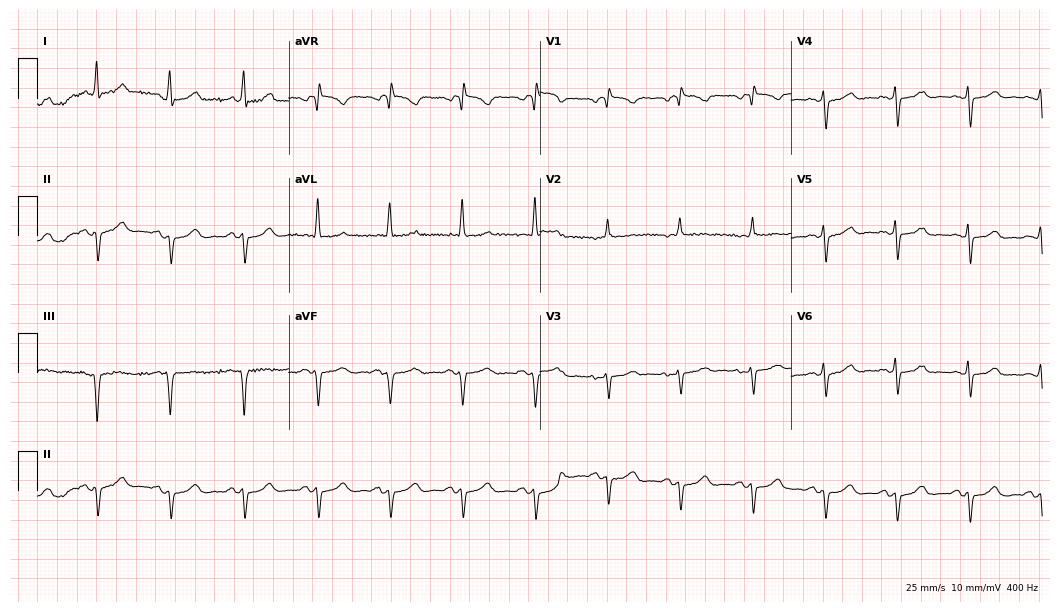
12-lead ECG from a woman, 68 years old (10.2-second recording at 400 Hz). No first-degree AV block, right bundle branch block, left bundle branch block, sinus bradycardia, atrial fibrillation or sinus tachycardia recorded for this tracing.